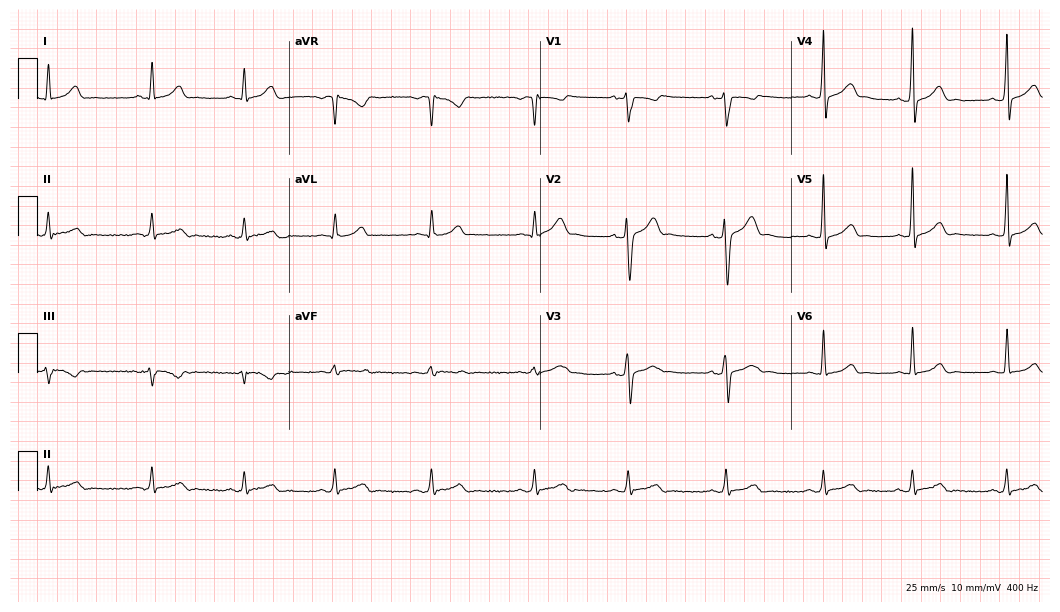
Resting 12-lead electrocardiogram (10.2-second recording at 400 Hz). Patient: a male, 27 years old. Read as a normal ECG.